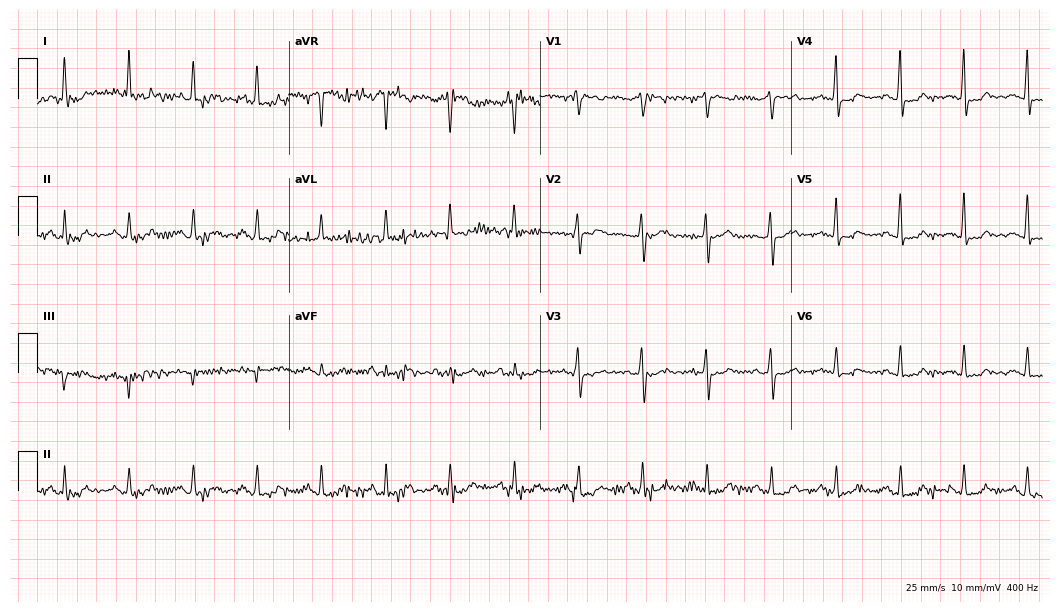
12-lead ECG from a female patient, 59 years old. No first-degree AV block, right bundle branch block, left bundle branch block, sinus bradycardia, atrial fibrillation or sinus tachycardia recorded for this tracing. Only these six findings were labelled.